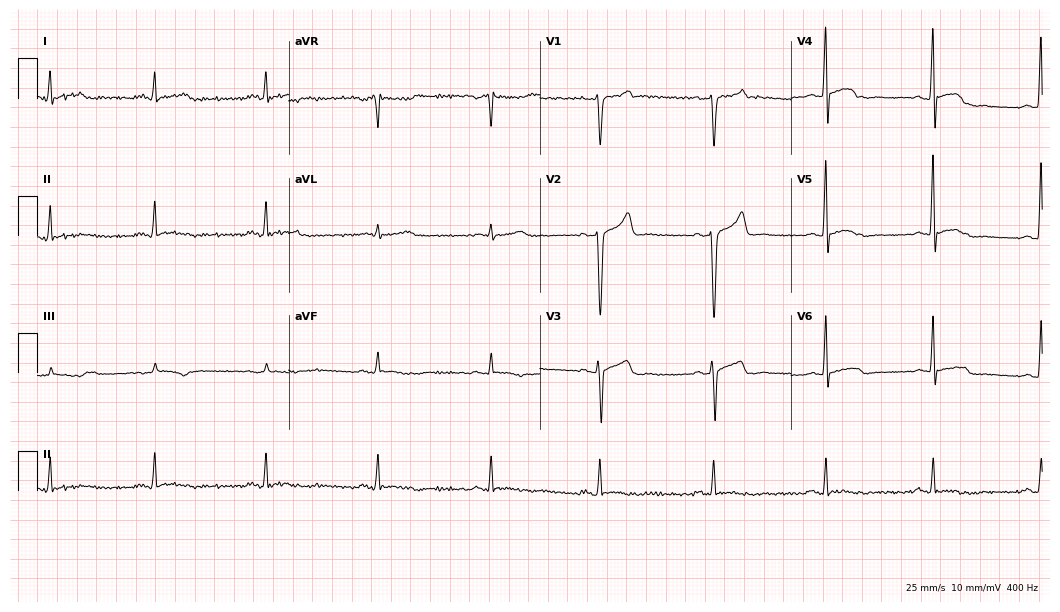
Standard 12-lead ECG recorded from a man, 37 years old. None of these six findings is recorded: first-degree AV block, right bundle branch block, left bundle branch block, sinus bradycardia, atrial fibrillation, sinus tachycardia.